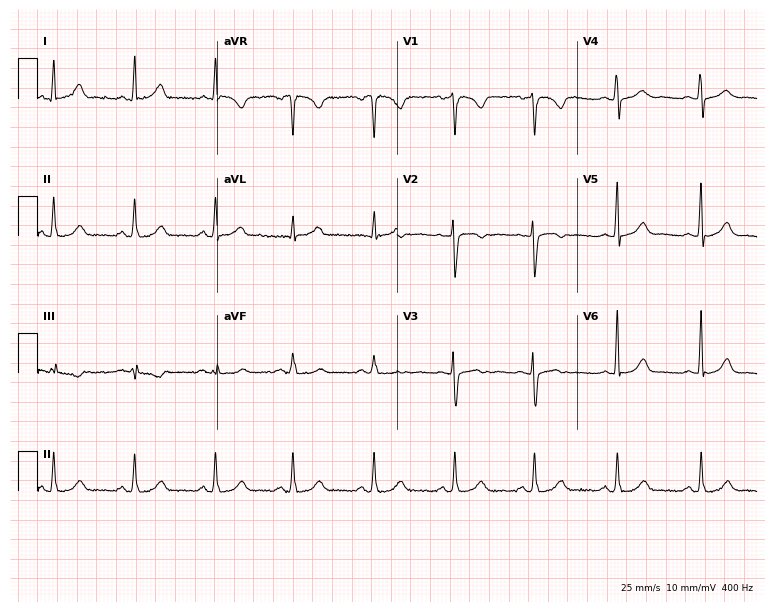
Resting 12-lead electrocardiogram (7.3-second recording at 400 Hz). Patient: a 39-year-old female. None of these six findings is recorded: first-degree AV block, right bundle branch block, left bundle branch block, sinus bradycardia, atrial fibrillation, sinus tachycardia.